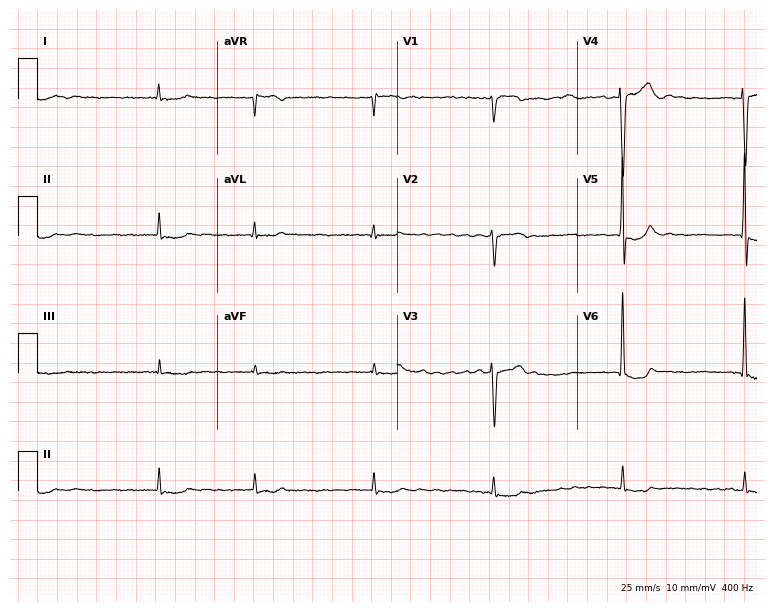
12-lead ECG from a 78-year-old male (7.3-second recording at 400 Hz). Shows atrial fibrillation.